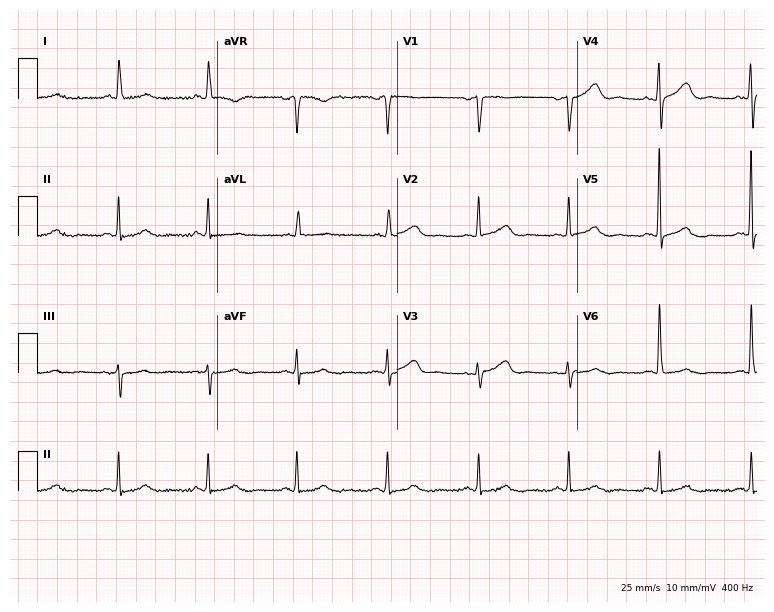
12-lead ECG from a woman, 81 years old (7.3-second recording at 400 Hz). No first-degree AV block, right bundle branch block, left bundle branch block, sinus bradycardia, atrial fibrillation or sinus tachycardia recorded for this tracing. Only these six findings were labelled.